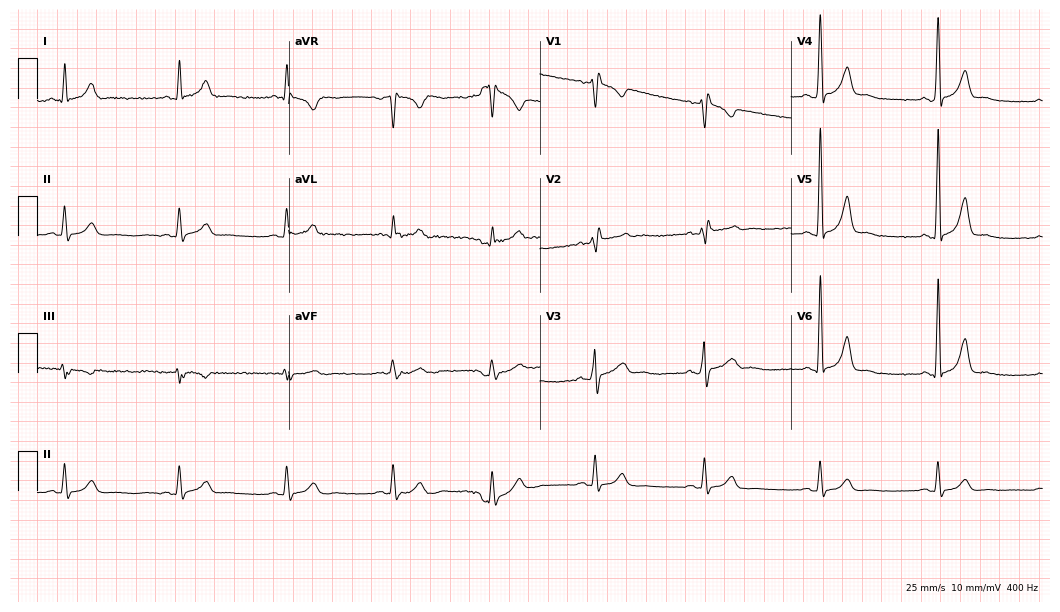
Resting 12-lead electrocardiogram. Patient: a man, 51 years old. None of these six findings is recorded: first-degree AV block, right bundle branch block, left bundle branch block, sinus bradycardia, atrial fibrillation, sinus tachycardia.